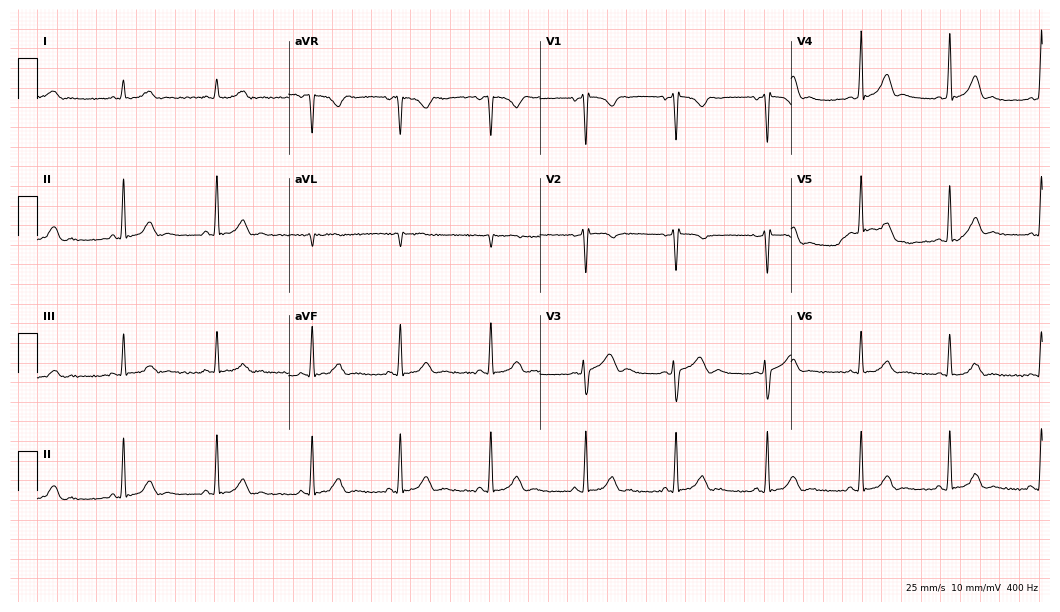
12-lead ECG from a woman, 28 years old (10.2-second recording at 400 Hz). Recorded interpretation: within normal limits.